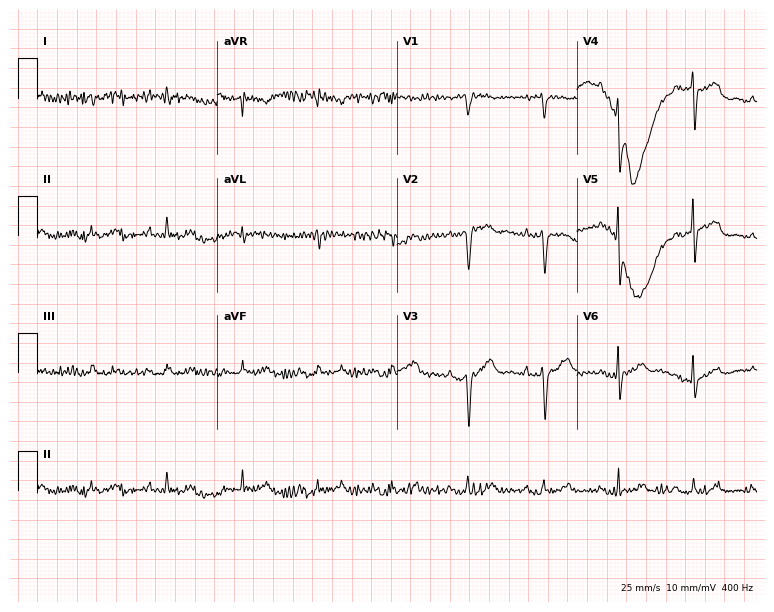
12-lead ECG from a male patient, 60 years old (7.3-second recording at 400 Hz). Recorded interpretation: within normal limits.